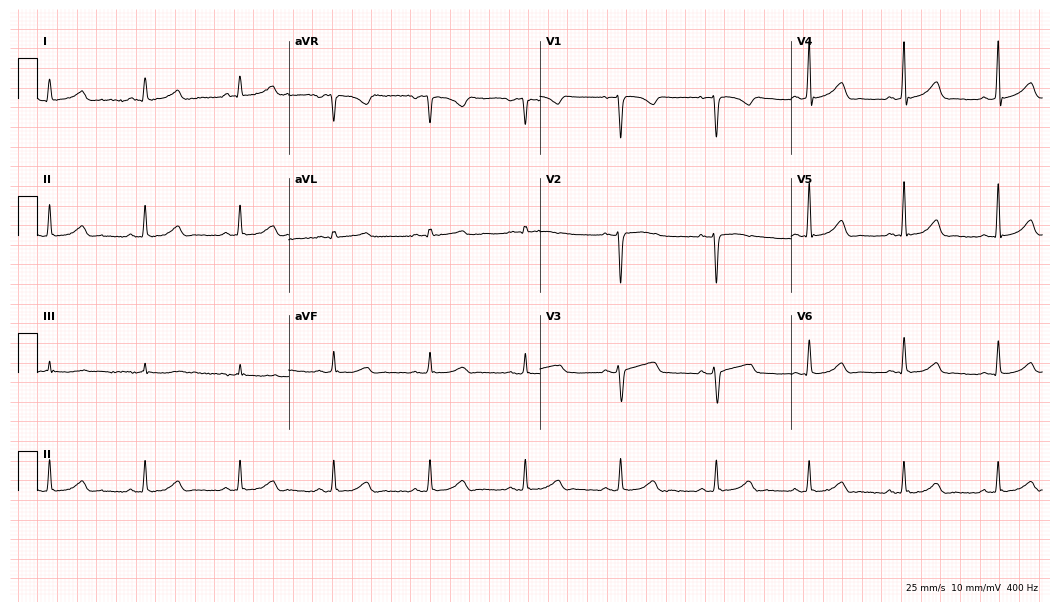
Resting 12-lead electrocardiogram (10.2-second recording at 400 Hz). Patient: a woman, 36 years old. None of these six findings is recorded: first-degree AV block, right bundle branch block (RBBB), left bundle branch block (LBBB), sinus bradycardia, atrial fibrillation (AF), sinus tachycardia.